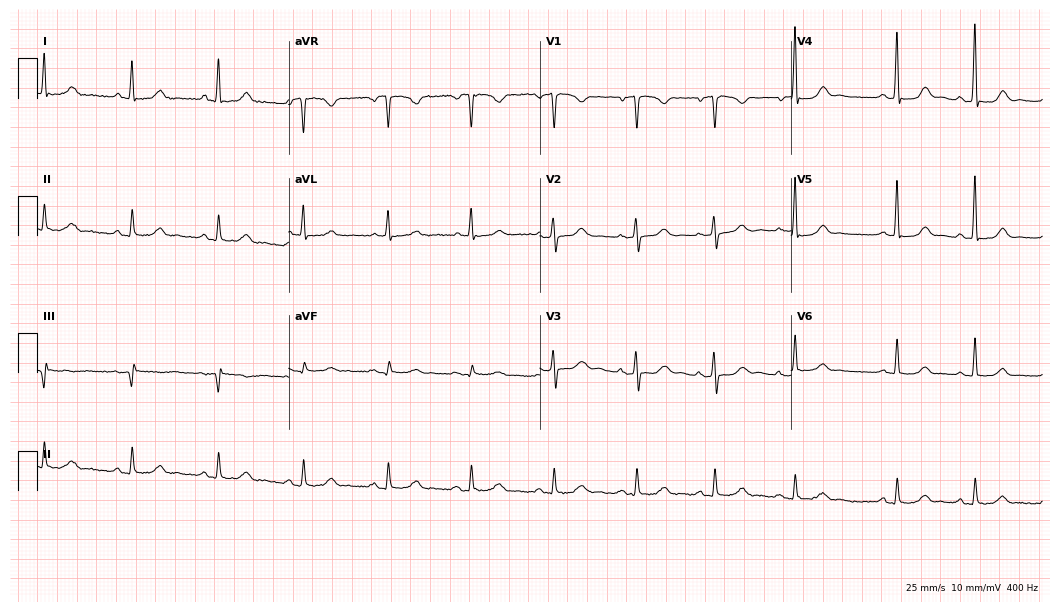
ECG — a 70-year-old female patient. Screened for six findings — first-degree AV block, right bundle branch block (RBBB), left bundle branch block (LBBB), sinus bradycardia, atrial fibrillation (AF), sinus tachycardia — none is recorded. Findings outside these six are not listed.